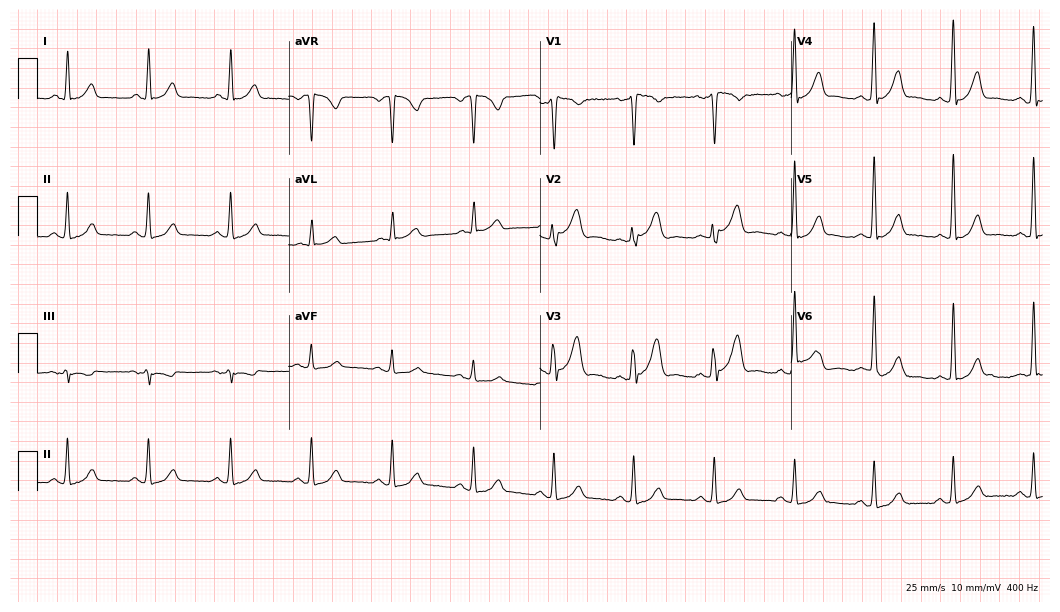
Electrocardiogram, a male, 46 years old. Overall reading on record: normal ECG.